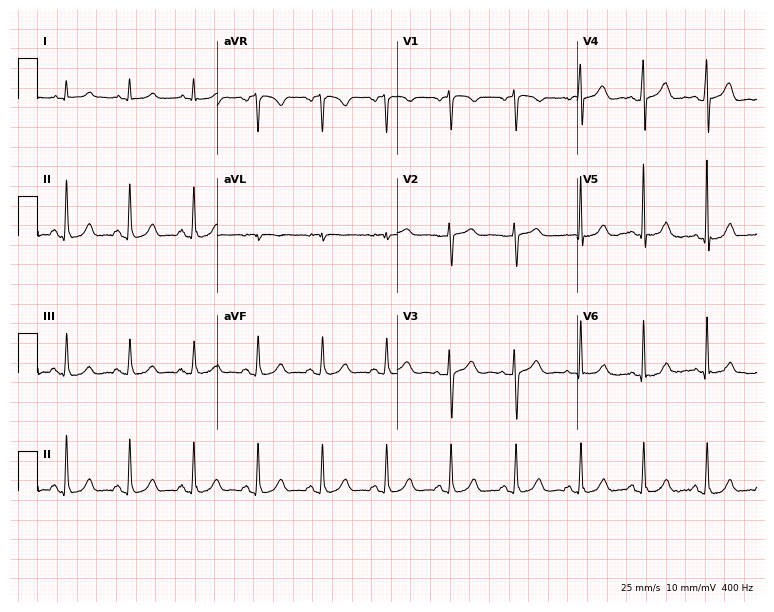
ECG — a 59-year-old female. Labelled as a normal ECG.